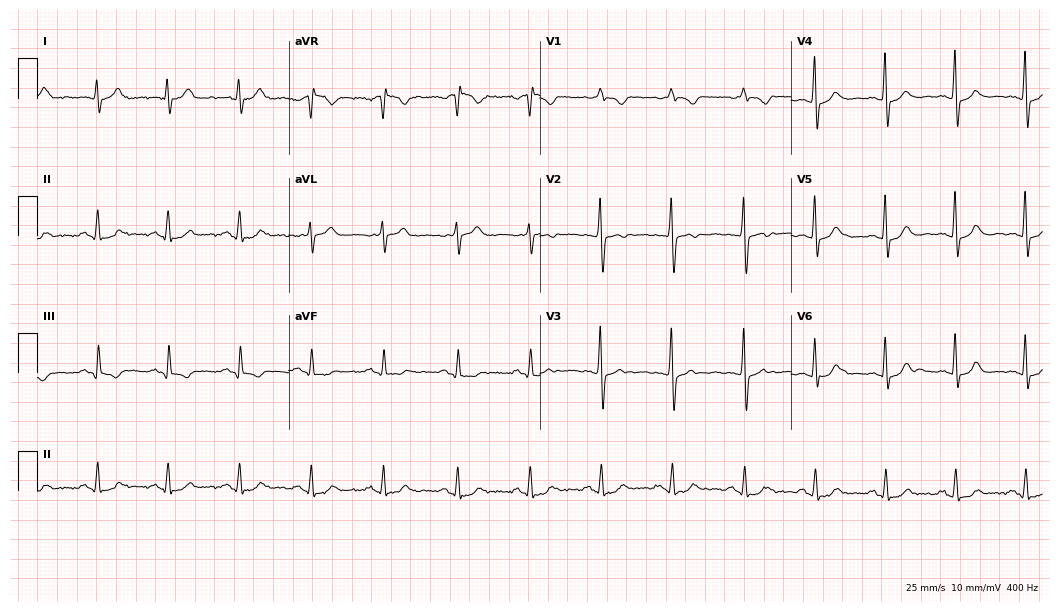
ECG (10.2-second recording at 400 Hz) — a woman, 68 years old. Screened for six findings — first-degree AV block, right bundle branch block, left bundle branch block, sinus bradycardia, atrial fibrillation, sinus tachycardia — none is recorded. Other findings, if any, are not listed.